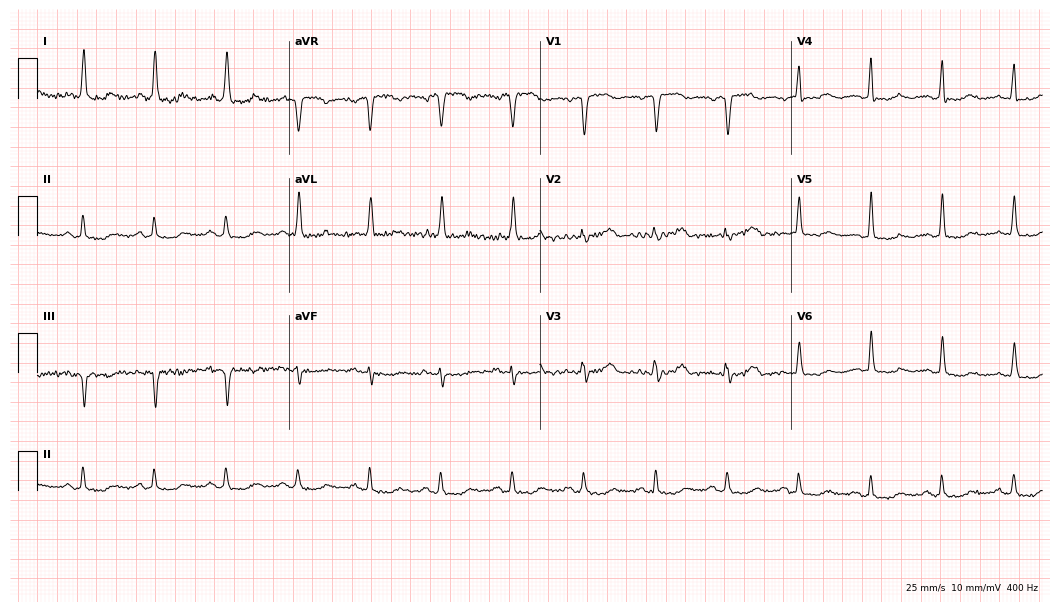
Electrocardiogram (10.2-second recording at 400 Hz), a woman, 71 years old. Of the six screened findings (first-degree AV block, right bundle branch block (RBBB), left bundle branch block (LBBB), sinus bradycardia, atrial fibrillation (AF), sinus tachycardia), none is recorded.